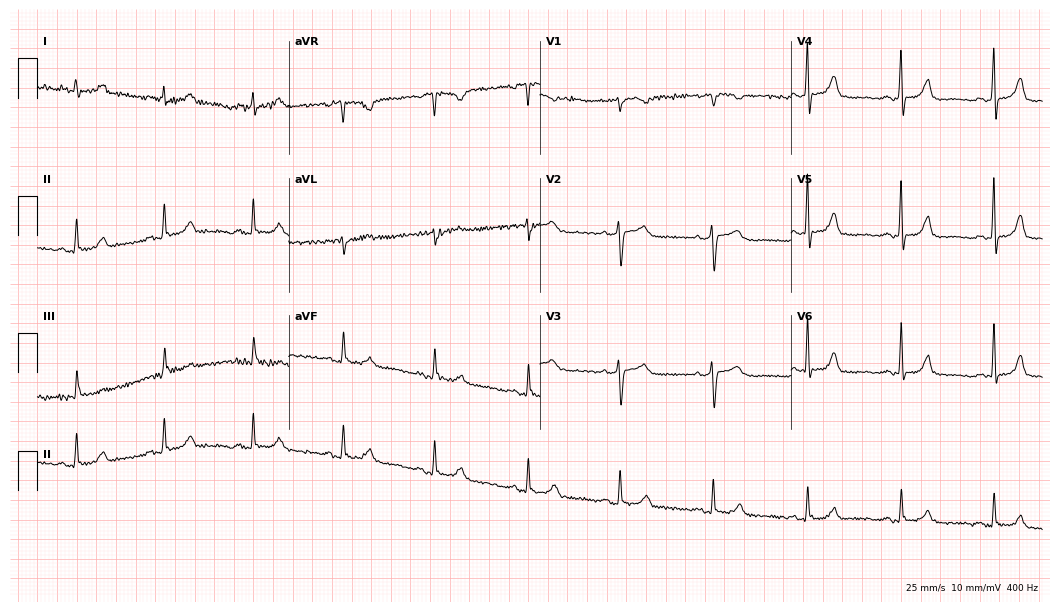
Electrocardiogram (10.2-second recording at 400 Hz), a female, 59 years old. Of the six screened findings (first-degree AV block, right bundle branch block (RBBB), left bundle branch block (LBBB), sinus bradycardia, atrial fibrillation (AF), sinus tachycardia), none is recorded. Other findings, if any, are not listed.